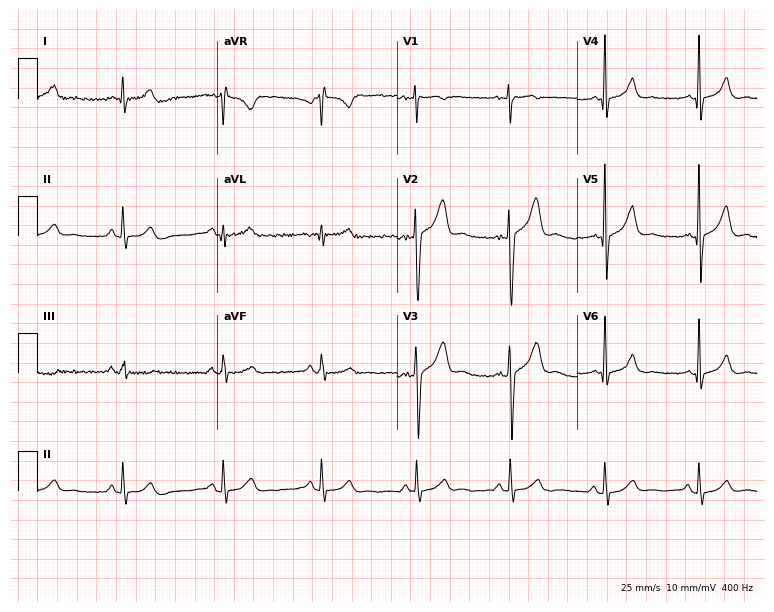
ECG (7.3-second recording at 400 Hz) — a male, 40 years old. Screened for six findings — first-degree AV block, right bundle branch block, left bundle branch block, sinus bradycardia, atrial fibrillation, sinus tachycardia — none is recorded. Findings outside these six are not listed.